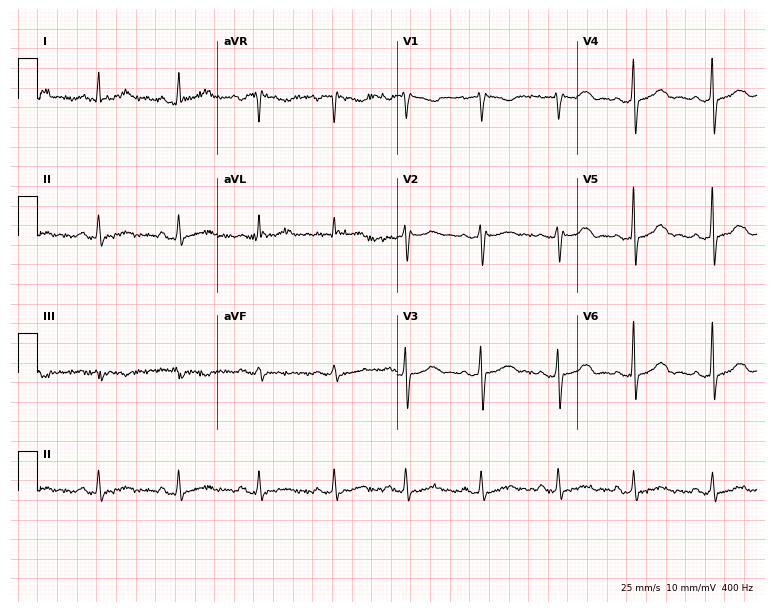
Resting 12-lead electrocardiogram (7.3-second recording at 400 Hz). Patient: a 50-year-old female. None of these six findings is recorded: first-degree AV block, right bundle branch block, left bundle branch block, sinus bradycardia, atrial fibrillation, sinus tachycardia. Other findings, if any, are not listed.